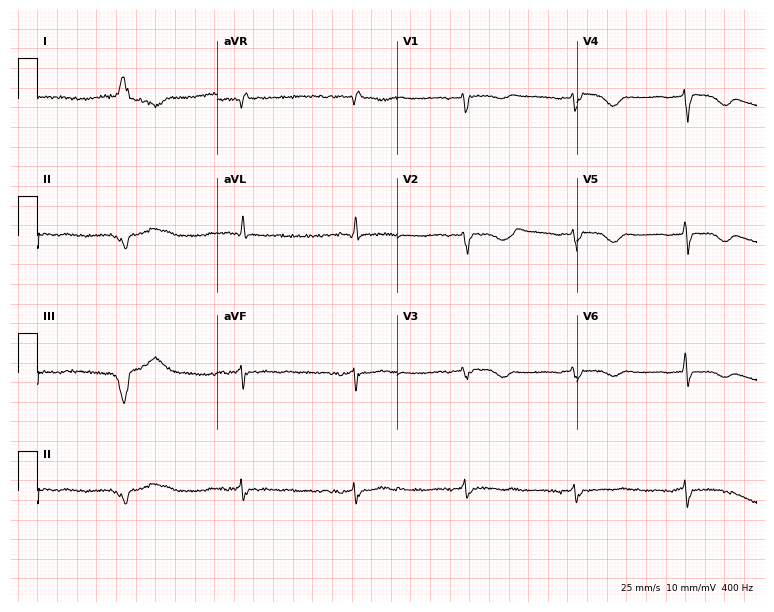
Standard 12-lead ECG recorded from a 77-year-old woman. None of these six findings is recorded: first-degree AV block, right bundle branch block, left bundle branch block, sinus bradycardia, atrial fibrillation, sinus tachycardia.